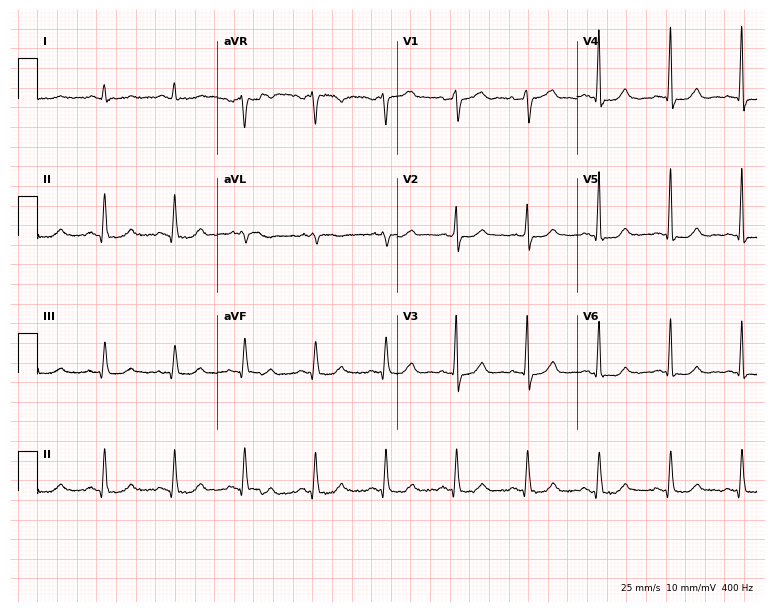
ECG — a female patient, 65 years old. Screened for six findings — first-degree AV block, right bundle branch block, left bundle branch block, sinus bradycardia, atrial fibrillation, sinus tachycardia — none is recorded.